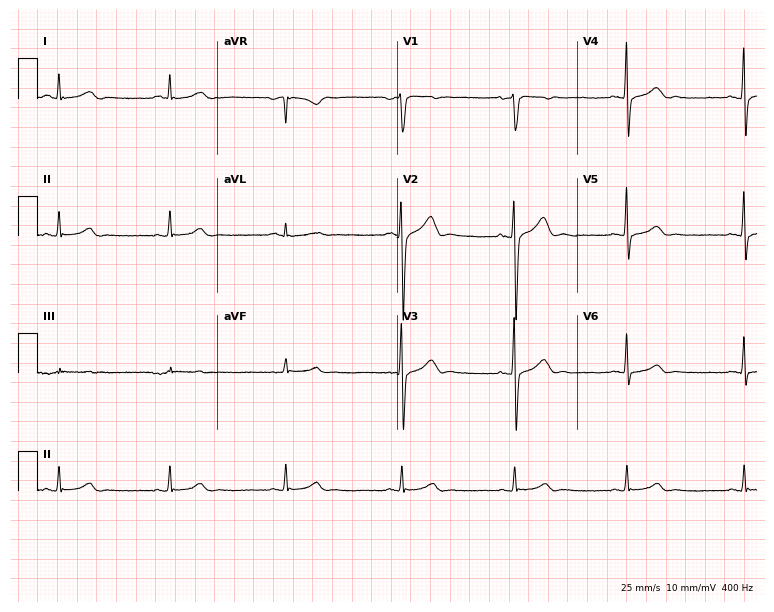
Standard 12-lead ECG recorded from a 38-year-old man. None of these six findings is recorded: first-degree AV block, right bundle branch block, left bundle branch block, sinus bradycardia, atrial fibrillation, sinus tachycardia. Only these six findings were labelled.